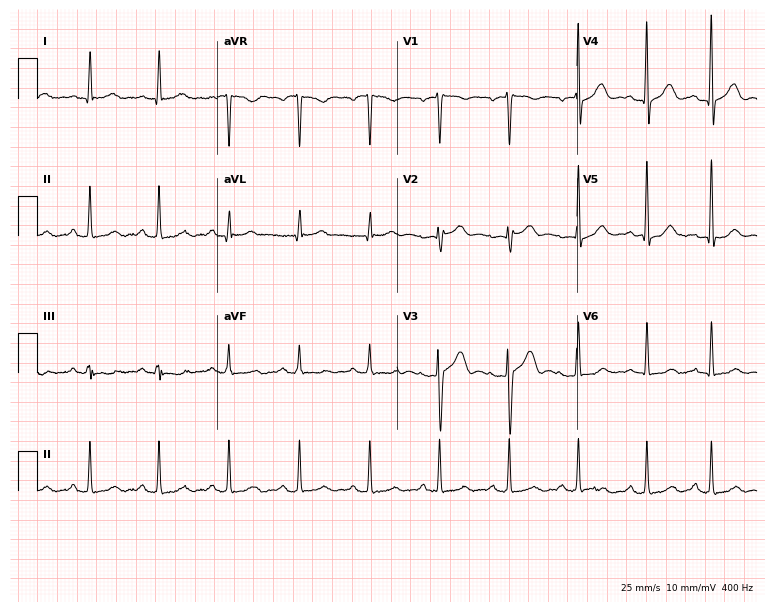
Electrocardiogram (7.3-second recording at 400 Hz), a man, 52 years old. Overall reading on record: normal ECG.